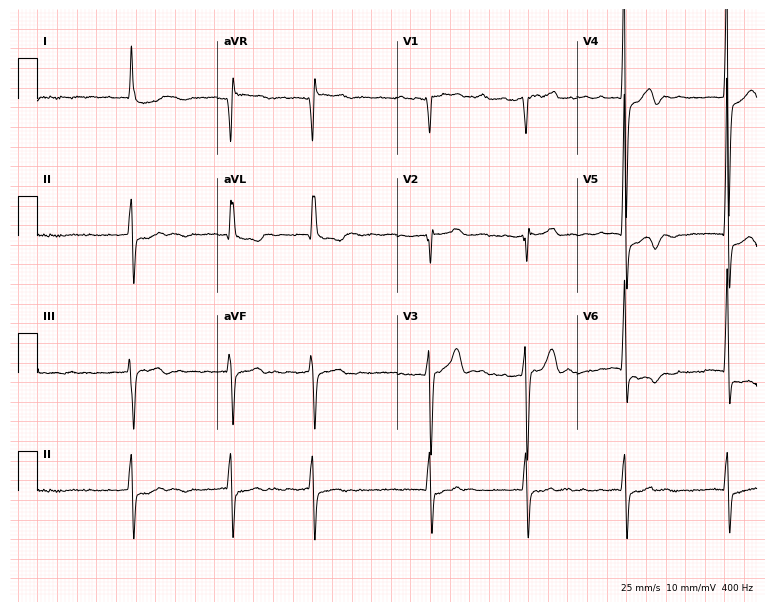
ECG — a female patient, 71 years old. Findings include atrial fibrillation (AF).